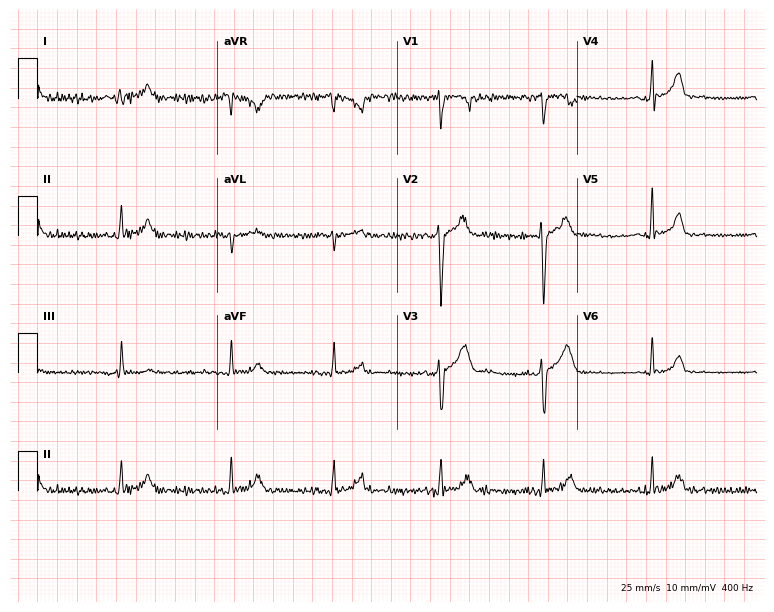
ECG — a 38-year-old man. Screened for six findings — first-degree AV block, right bundle branch block, left bundle branch block, sinus bradycardia, atrial fibrillation, sinus tachycardia — none is recorded.